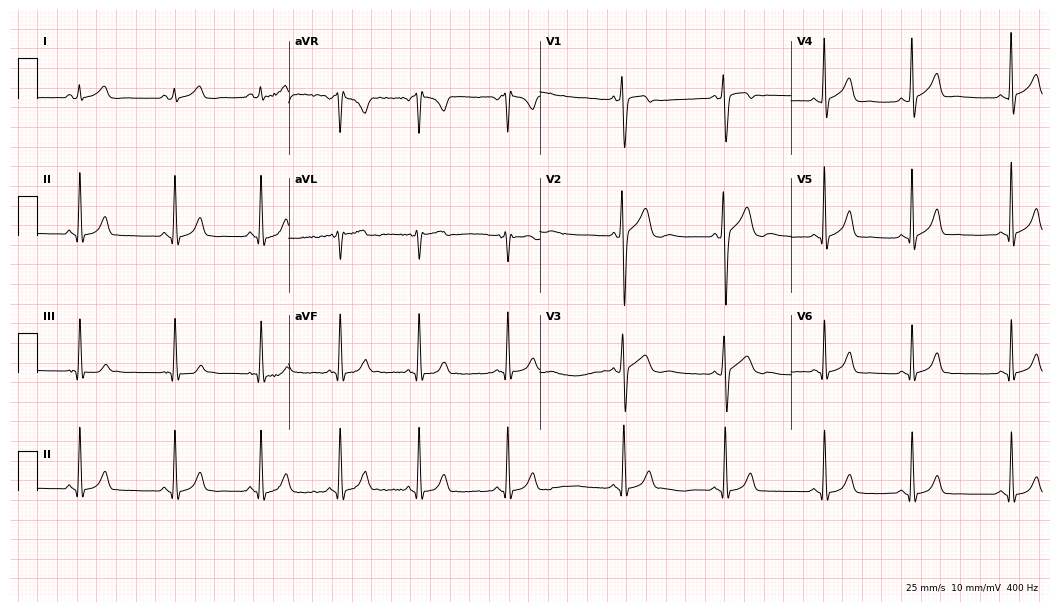
ECG — a 17-year-old male patient. Labelled as a normal ECG.